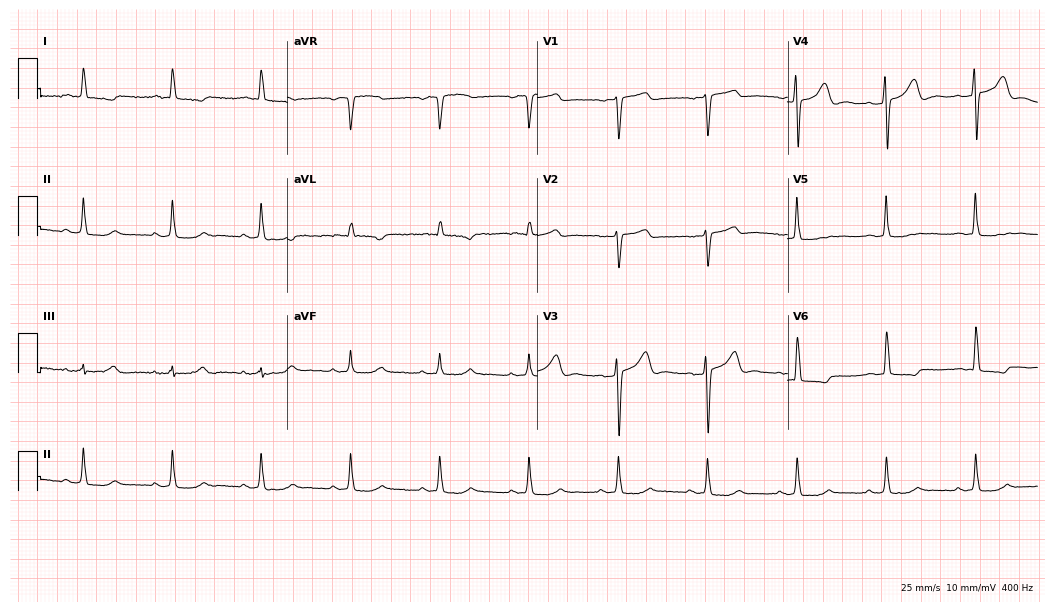
12-lead ECG from a female, 55 years old. Labelled as a normal ECG.